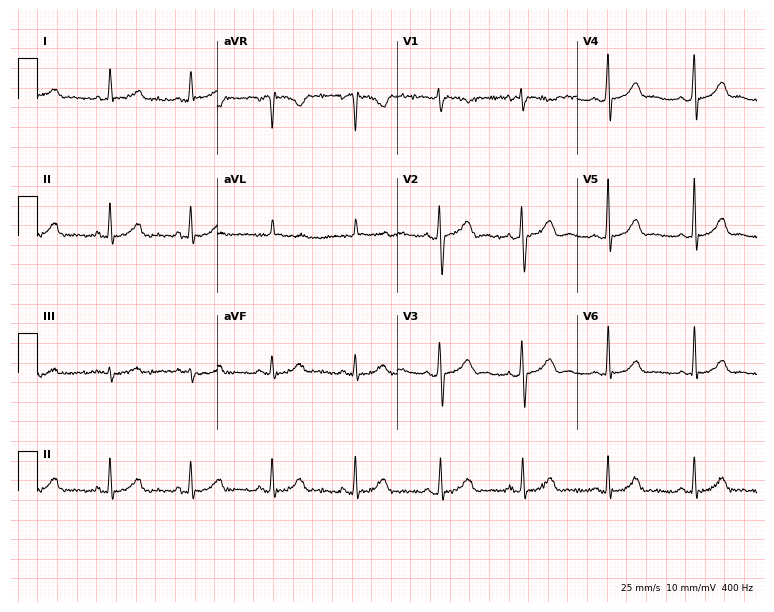
Electrocardiogram, a female patient, 35 years old. Overall reading on record: normal ECG.